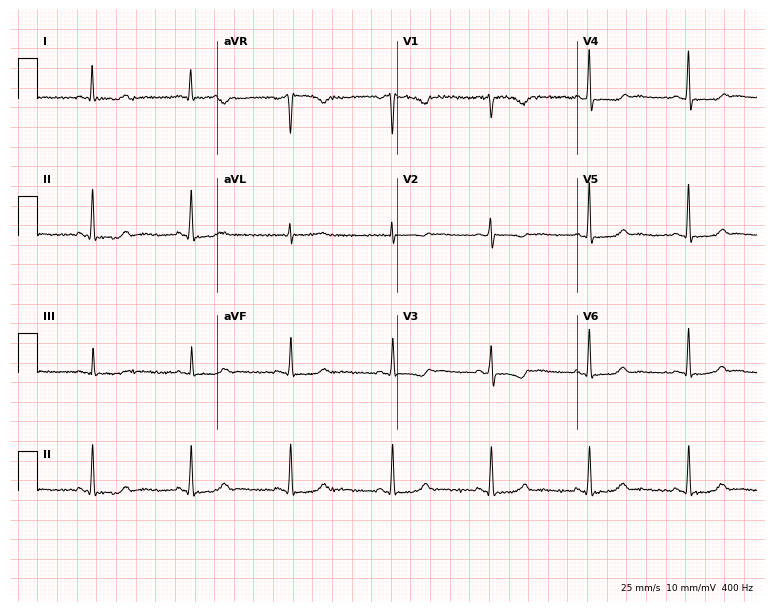
12-lead ECG from a female patient, 62 years old. Screened for six findings — first-degree AV block, right bundle branch block (RBBB), left bundle branch block (LBBB), sinus bradycardia, atrial fibrillation (AF), sinus tachycardia — none is recorded.